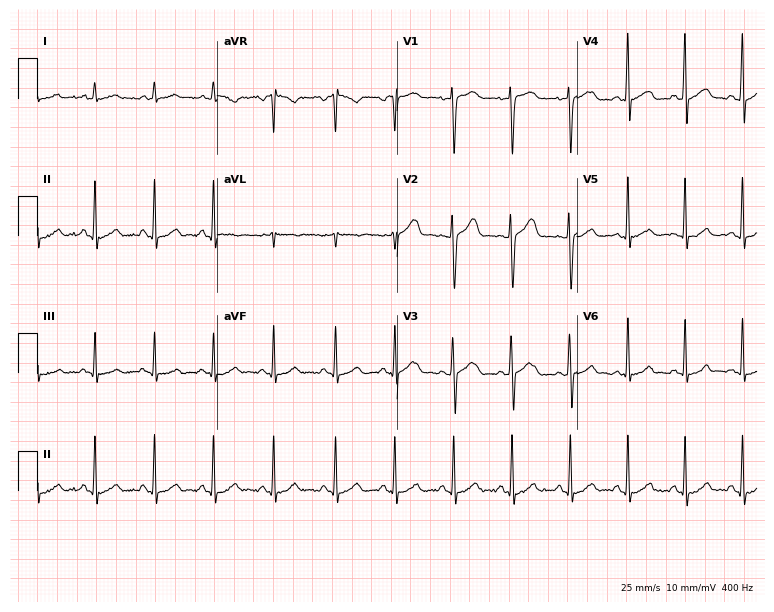
Resting 12-lead electrocardiogram. Patient: a 26-year-old woman. The tracing shows sinus tachycardia (a sinus rate of 100 beats per minute or more).